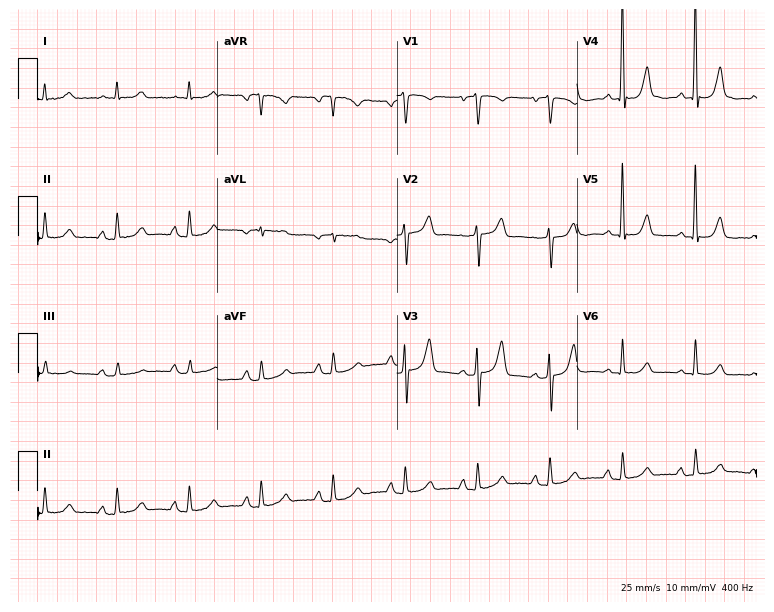
Resting 12-lead electrocardiogram. Patient: a woman, 74 years old. None of these six findings is recorded: first-degree AV block, right bundle branch block, left bundle branch block, sinus bradycardia, atrial fibrillation, sinus tachycardia.